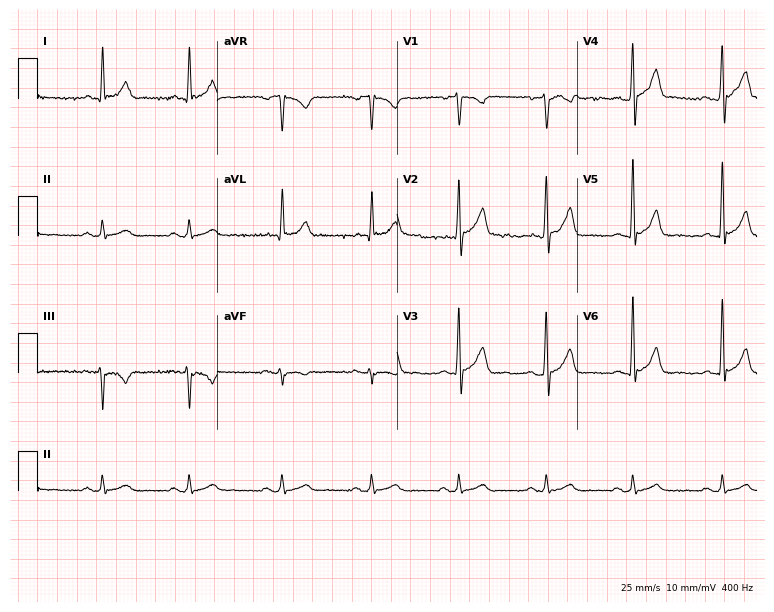
Resting 12-lead electrocardiogram (7.3-second recording at 400 Hz). Patient: a male, 48 years old. None of these six findings is recorded: first-degree AV block, right bundle branch block (RBBB), left bundle branch block (LBBB), sinus bradycardia, atrial fibrillation (AF), sinus tachycardia.